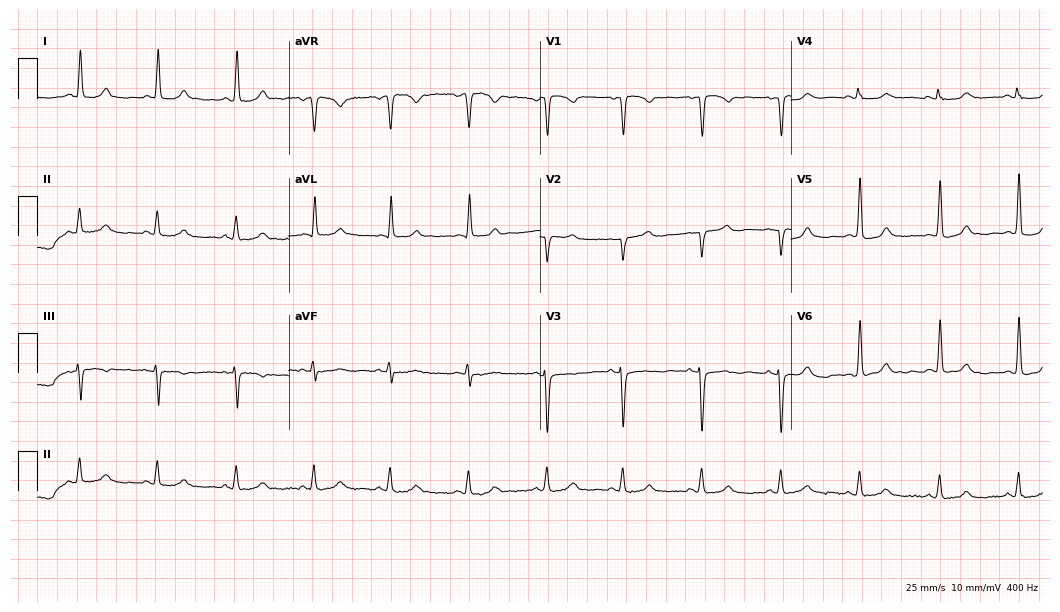
Electrocardiogram, a 71-year-old female patient. Of the six screened findings (first-degree AV block, right bundle branch block, left bundle branch block, sinus bradycardia, atrial fibrillation, sinus tachycardia), none is recorded.